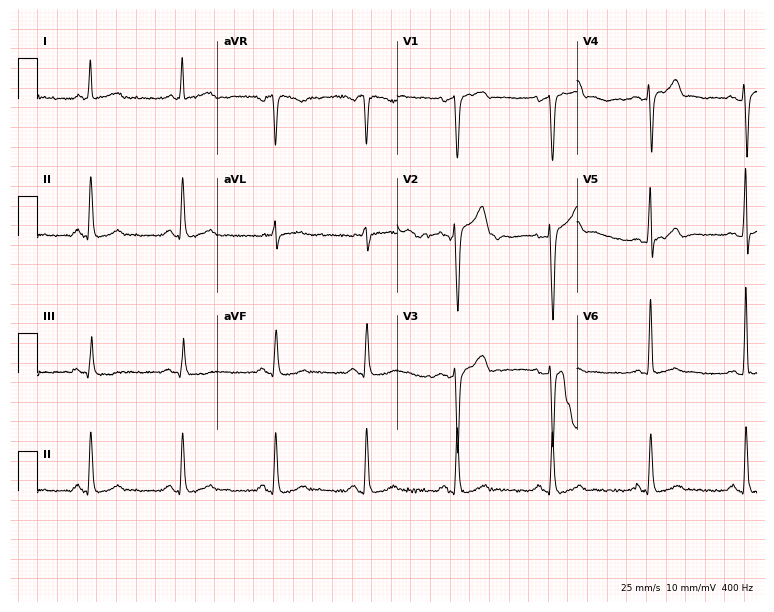
12-lead ECG from a male patient, 52 years old. Screened for six findings — first-degree AV block, right bundle branch block, left bundle branch block, sinus bradycardia, atrial fibrillation, sinus tachycardia — none is recorded. Other findings, if any, are not listed.